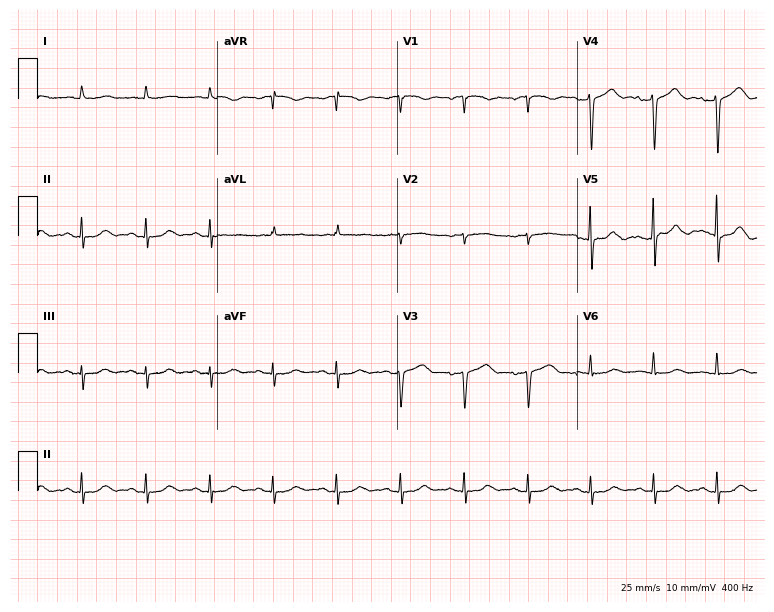
12-lead ECG from an 86-year-old female patient. No first-degree AV block, right bundle branch block (RBBB), left bundle branch block (LBBB), sinus bradycardia, atrial fibrillation (AF) or sinus tachycardia recorded for this tracing.